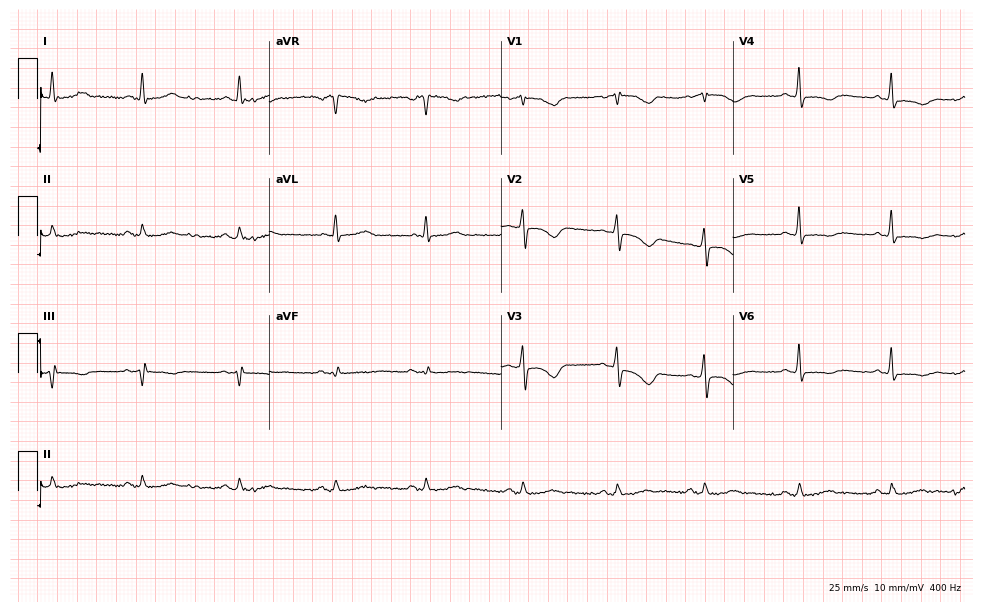
Standard 12-lead ECG recorded from a 47-year-old woman (9.5-second recording at 400 Hz). None of these six findings is recorded: first-degree AV block, right bundle branch block, left bundle branch block, sinus bradycardia, atrial fibrillation, sinus tachycardia.